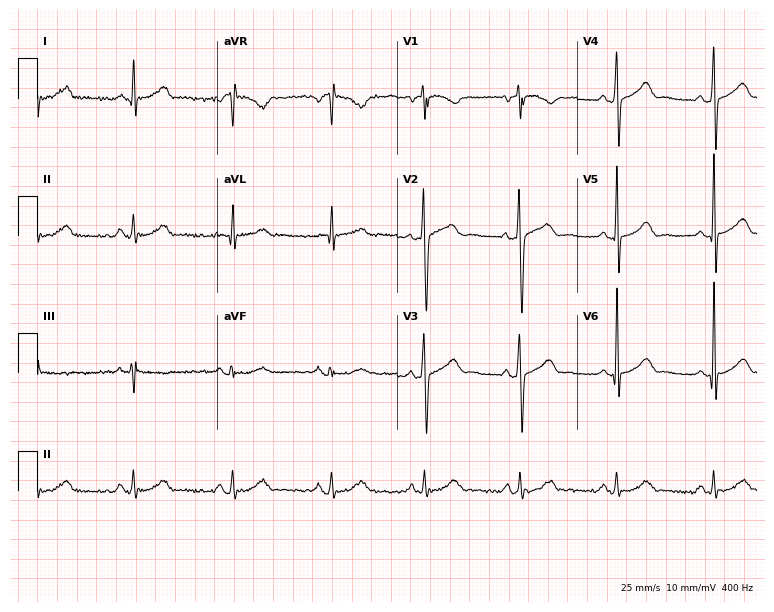
Standard 12-lead ECG recorded from a man, 38 years old. None of these six findings is recorded: first-degree AV block, right bundle branch block, left bundle branch block, sinus bradycardia, atrial fibrillation, sinus tachycardia. Findings outside these six are not listed.